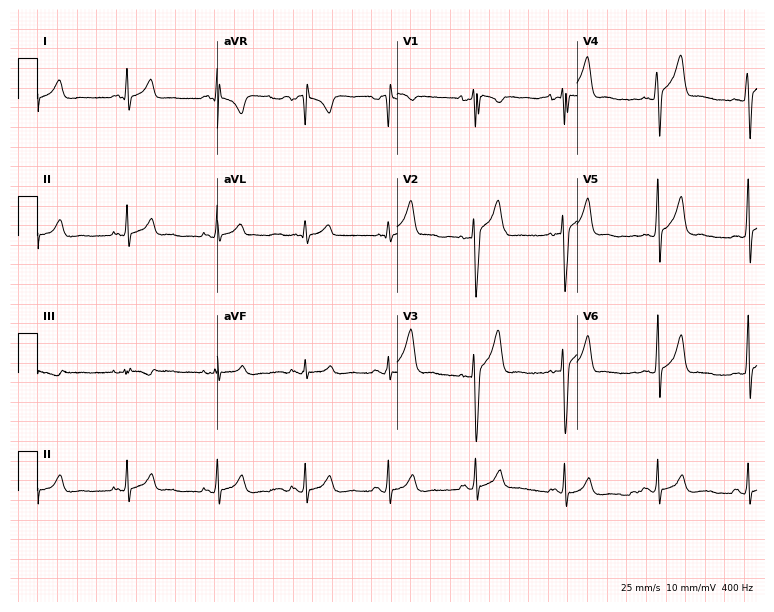
12-lead ECG (7.3-second recording at 400 Hz) from a 27-year-old man. Screened for six findings — first-degree AV block, right bundle branch block, left bundle branch block, sinus bradycardia, atrial fibrillation, sinus tachycardia — none is recorded. Findings outside these six are not listed.